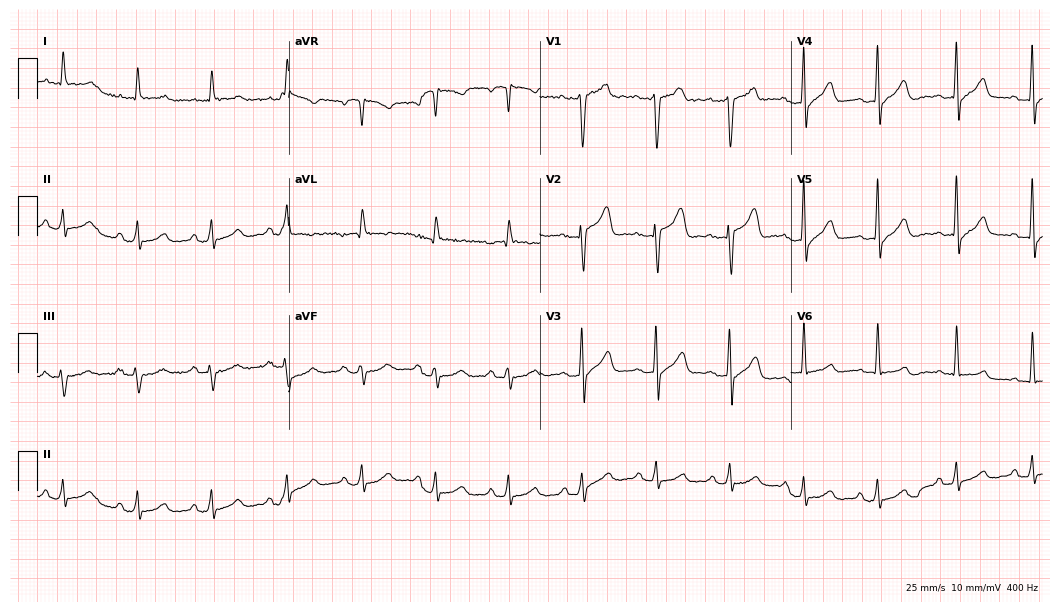
ECG — a 65-year-old man. Screened for six findings — first-degree AV block, right bundle branch block (RBBB), left bundle branch block (LBBB), sinus bradycardia, atrial fibrillation (AF), sinus tachycardia — none is recorded.